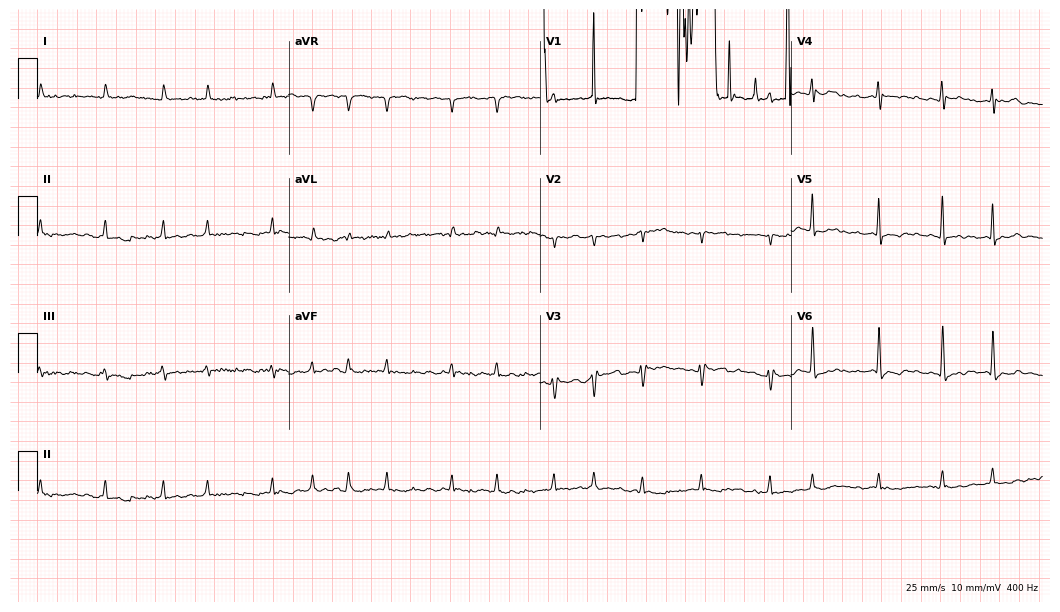
Resting 12-lead electrocardiogram. Patient: a woman, 83 years old. The tracing shows atrial fibrillation.